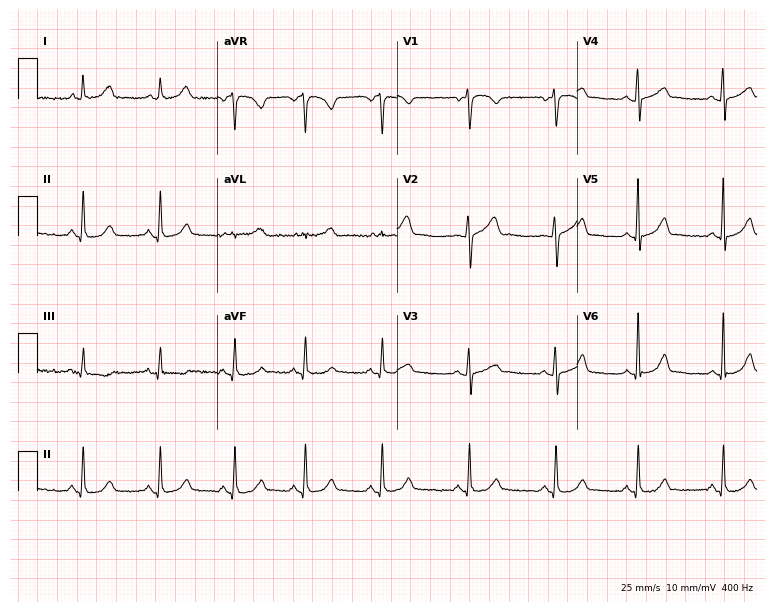
Electrocardiogram, a female, 45 years old. Overall reading on record: normal ECG.